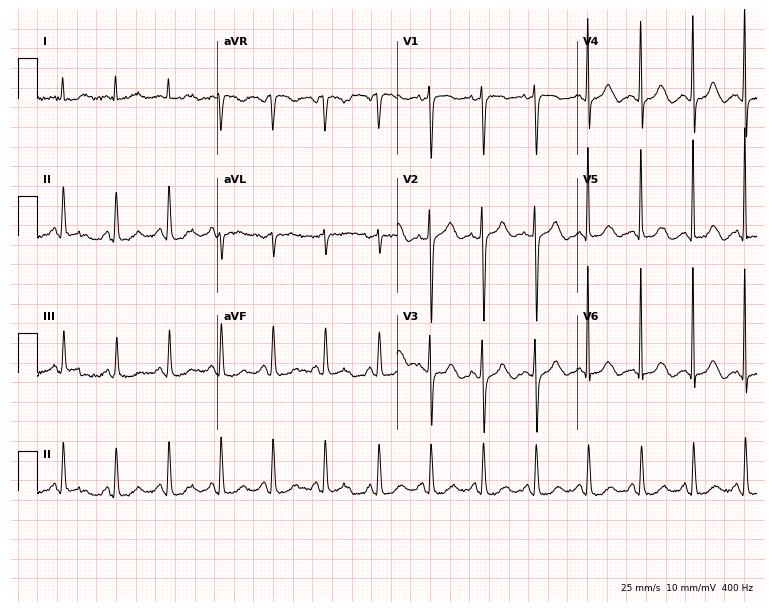
12-lead ECG (7.3-second recording at 400 Hz) from a 78-year-old woman. Findings include sinus tachycardia (a sinus rate of 100 beats per minute or more).